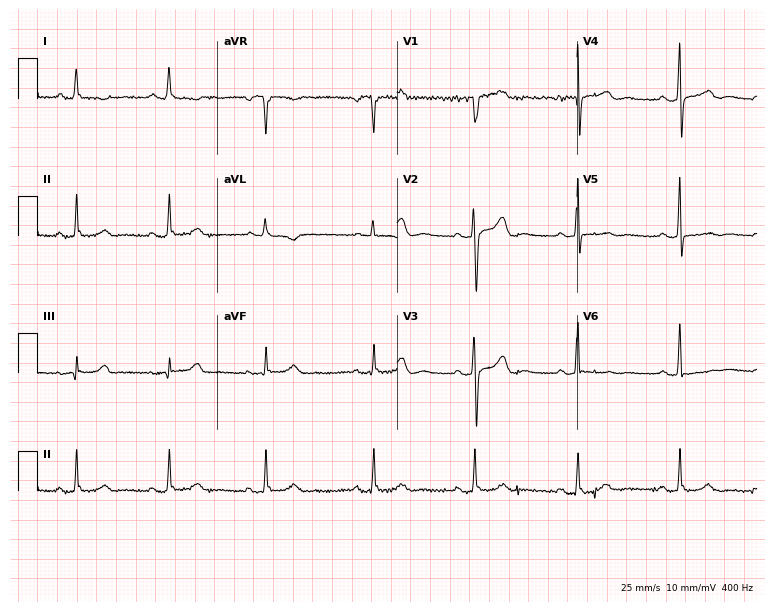
Resting 12-lead electrocardiogram (7.3-second recording at 400 Hz). Patient: a 55-year-old female. None of these six findings is recorded: first-degree AV block, right bundle branch block, left bundle branch block, sinus bradycardia, atrial fibrillation, sinus tachycardia.